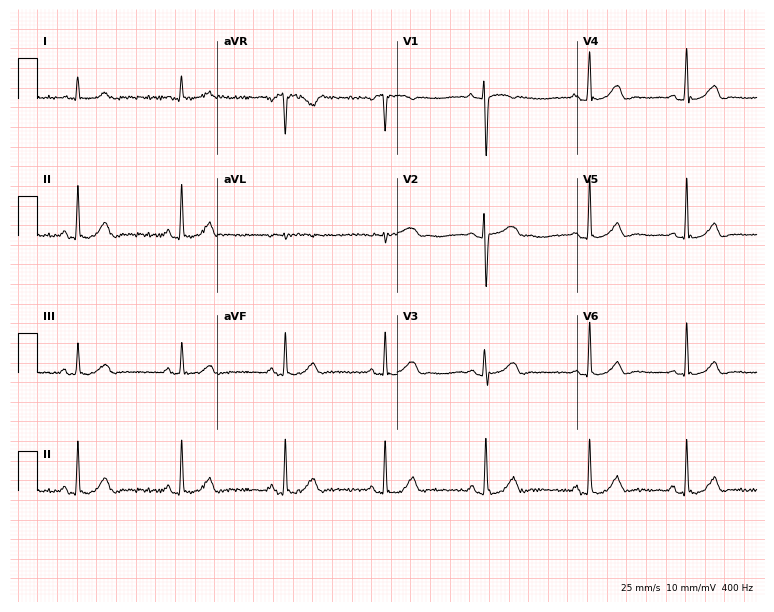
Standard 12-lead ECG recorded from a 49-year-old woman (7.3-second recording at 400 Hz). Read as a normal ECG.